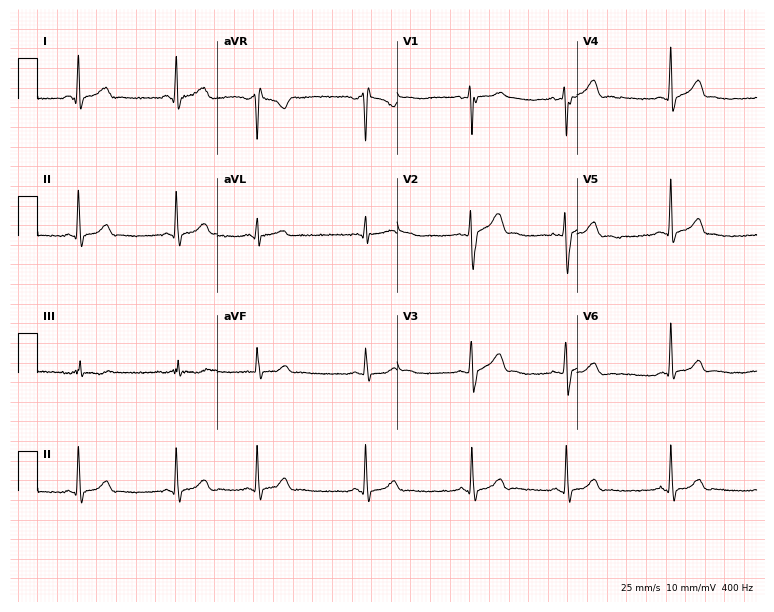
Standard 12-lead ECG recorded from a male patient, 21 years old. Read as a normal ECG.